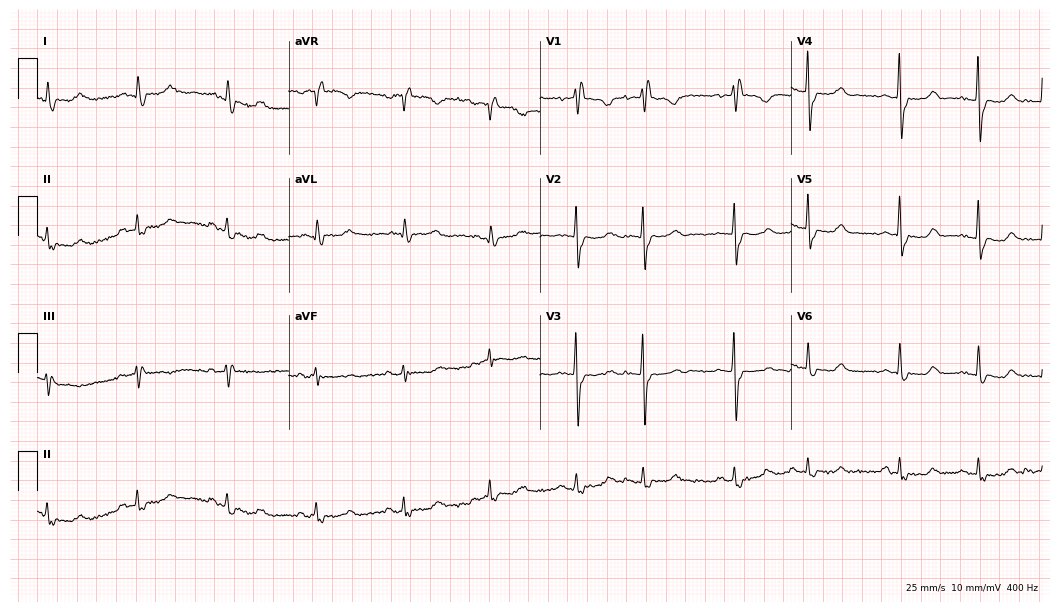
12-lead ECG from a 69-year-old woman. Shows right bundle branch block.